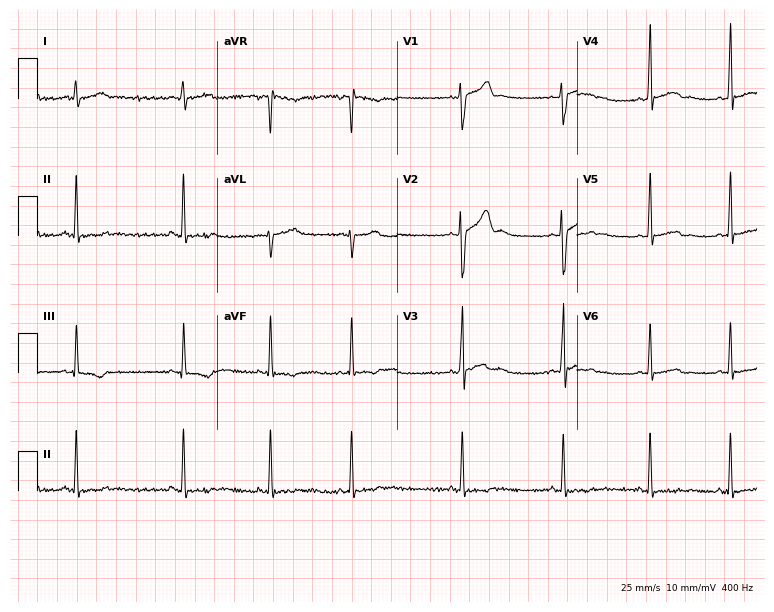
Standard 12-lead ECG recorded from a 22-year-old male. None of these six findings is recorded: first-degree AV block, right bundle branch block (RBBB), left bundle branch block (LBBB), sinus bradycardia, atrial fibrillation (AF), sinus tachycardia.